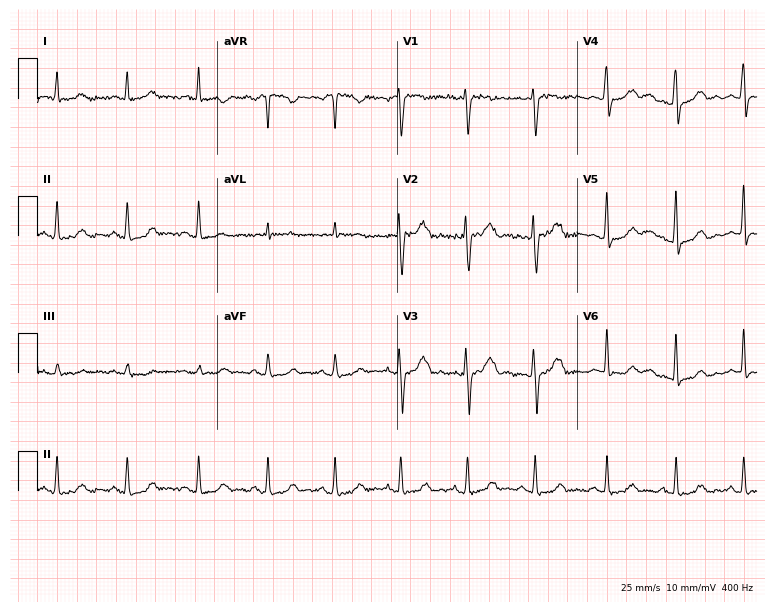
Electrocardiogram, a 39-year-old woman. Of the six screened findings (first-degree AV block, right bundle branch block (RBBB), left bundle branch block (LBBB), sinus bradycardia, atrial fibrillation (AF), sinus tachycardia), none is recorded. Findings outside these six are not listed.